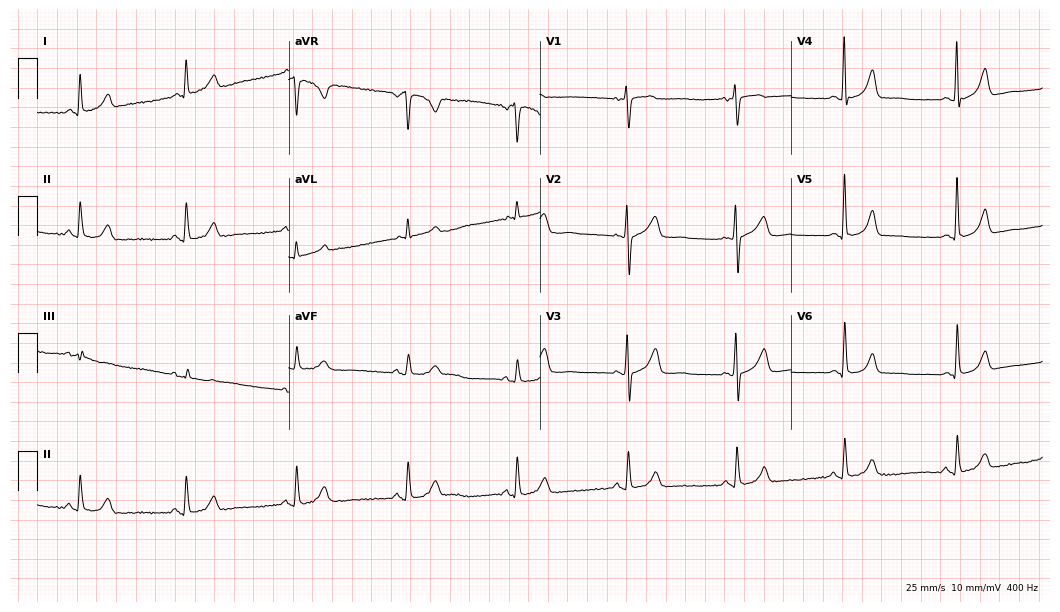
12-lead ECG (10.2-second recording at 400 Hz) from a 65-year-old female patient. Labelled as a normal ECG.